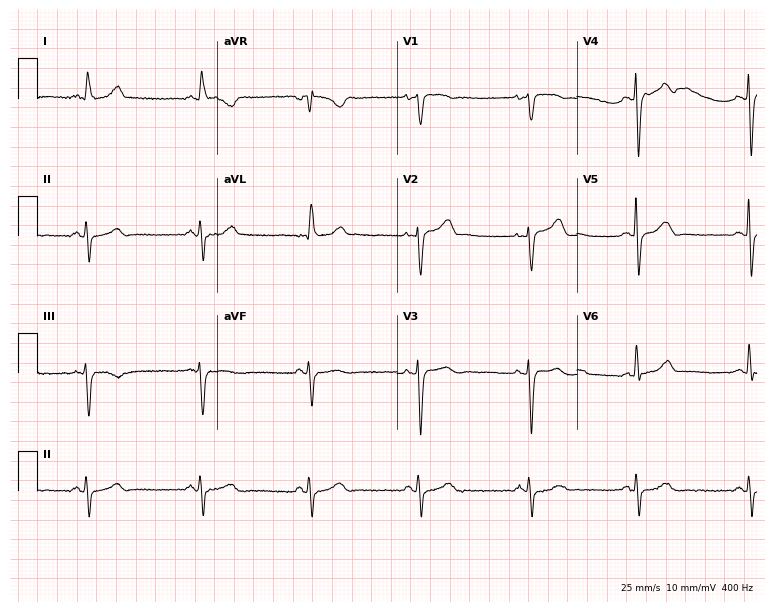
Resting 12-lead electrocardiogram (7.3-second recording at 400 Hz). Patient: a woman, 78 years old. None of these six findings is recorded: first-degree AV block, right bundle branch block (RBBB), left bundle branch block (LBBB), sinus bradycardia, atrial fibrillation (AF), sinus tachycardia. Findings outside these six are not listed.